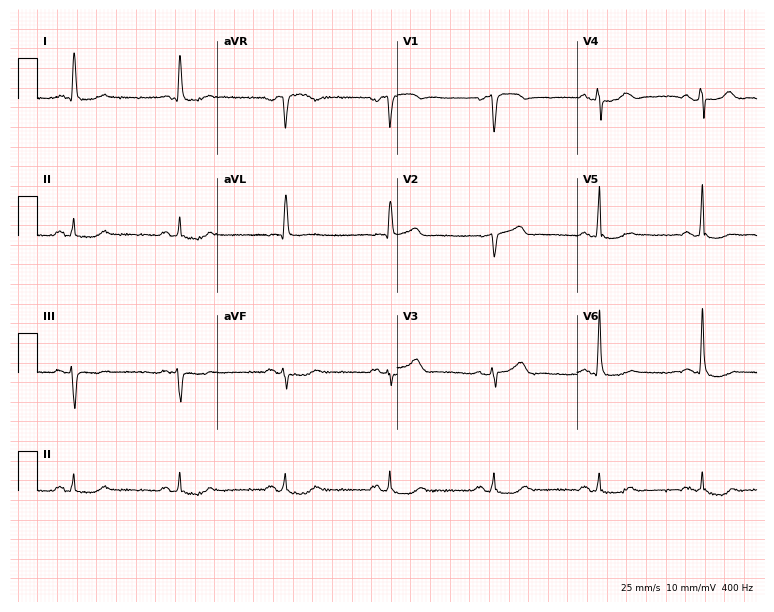
ECG (7.3-second recording at 400 Hz) — a 69-year-old man. Screened for six findings — first-degree AV block, right bundle branch block, left bundle branch block, sinus bradycardia, atrial fibrillation, sinus tachycardia — none is recorded. Other findings, if any, are not listed.